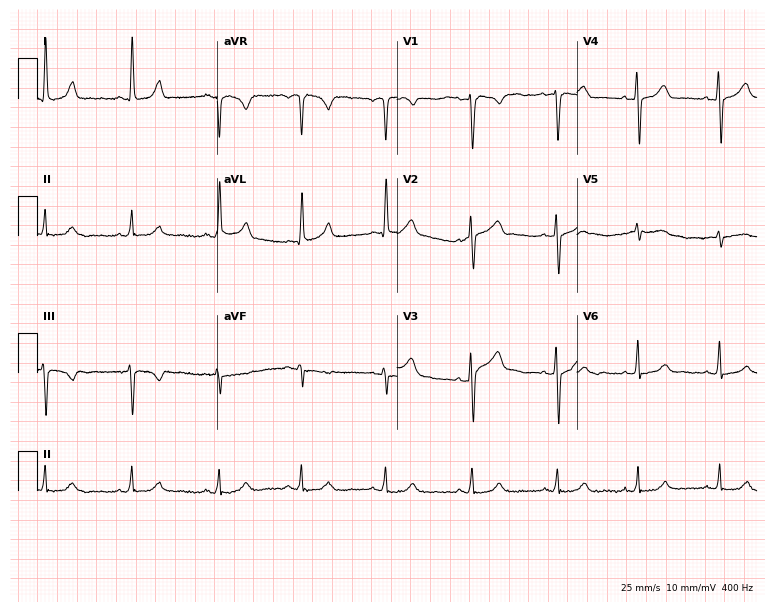
ECG — a female, 54 years old. Screened for six findings — first-degree AV block, right bundle branch block, left bundle branch block, sinus bradycardia, atrial fibrillation, sinus tachycardia — none is recorded. Other findings, if any, are not listed.